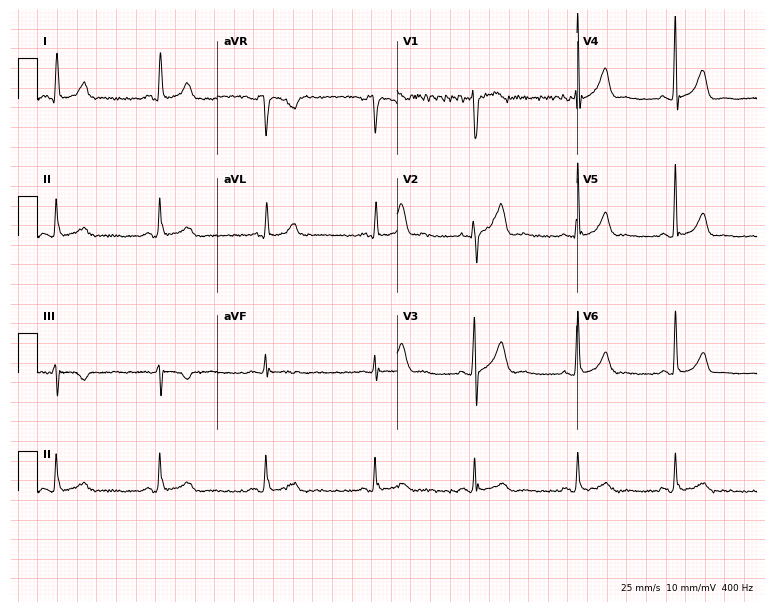
Standard 12-lead ECG recorded from a 38-year-old man. Read as a normal ECG.